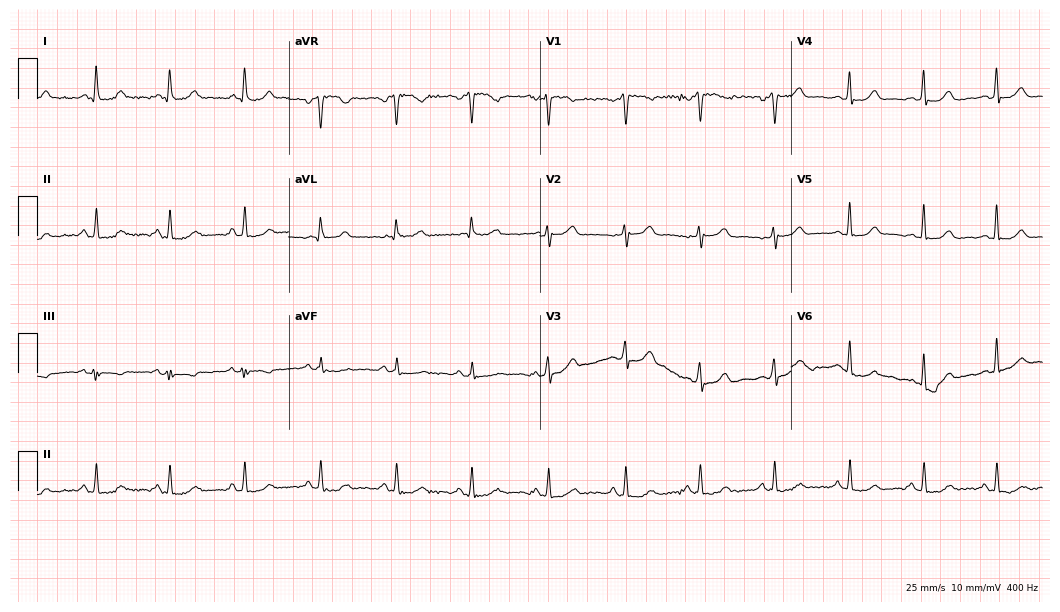
Resting 12-lead electrocardiogram (10.2-second recording at 400 Hz). Patient: a 48-year-old woman. Read as a normal ECG.